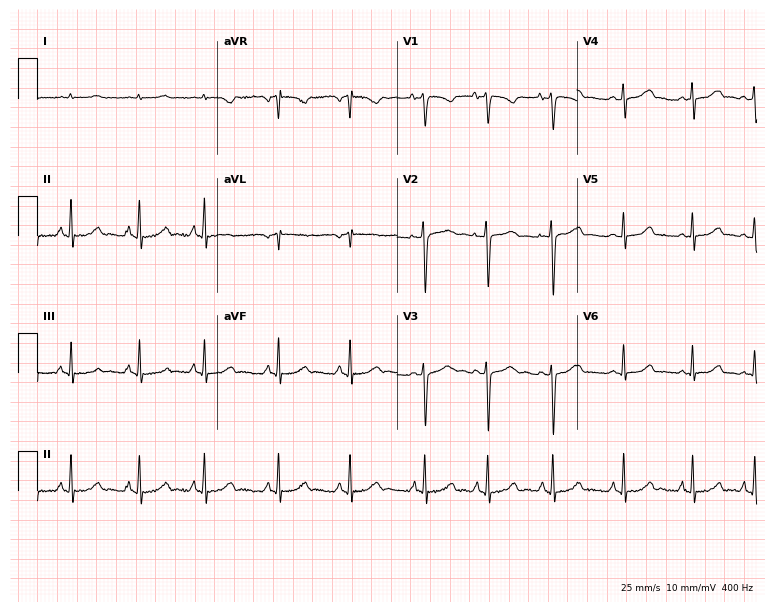
12-lead ECG from a 31-year-old female patient. Screened for six findings — first-degree AV block, right bundle branch block, left bundle branch block, sinus bradycardia, atrial fibrillation, sinus tachycardia — none is recorded. Findings outside these six are not listed.